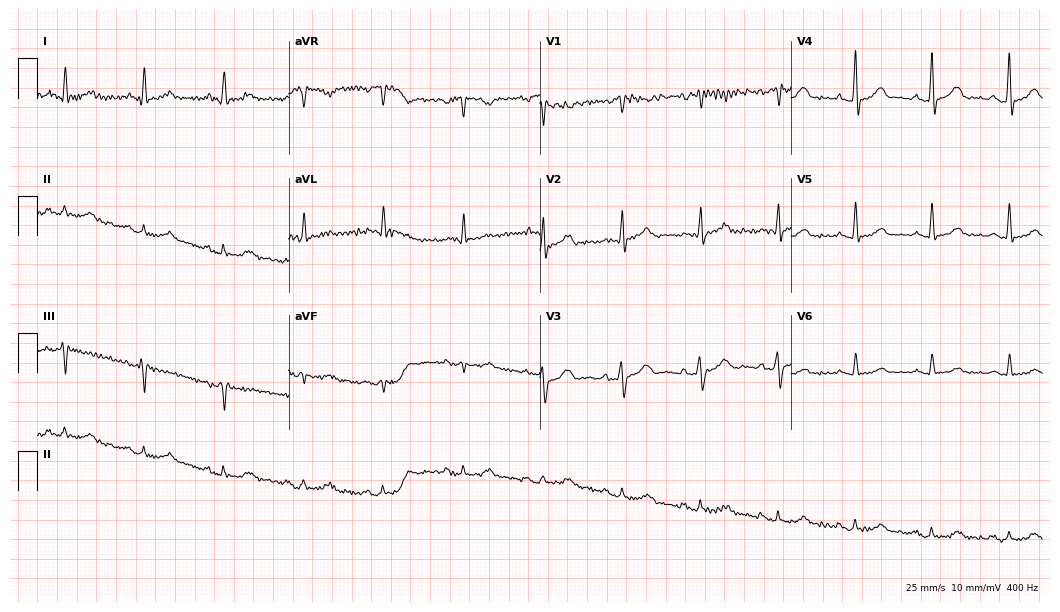
Standard 12-lead ECG recorded from a male, 60 years old. Read as a normal ECG.